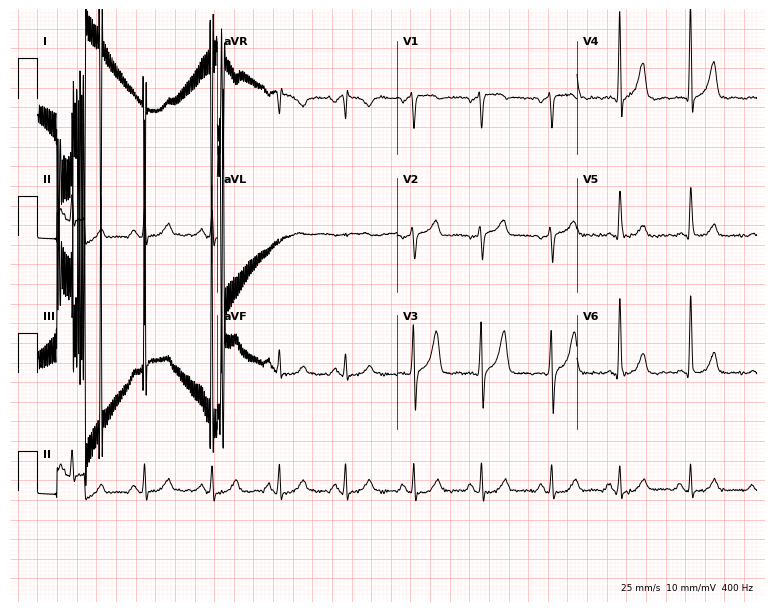
Electrocardiogram (7.3-second recording at 400 Hz), a male, 57 years old. Overall reading on record: normal ECG.